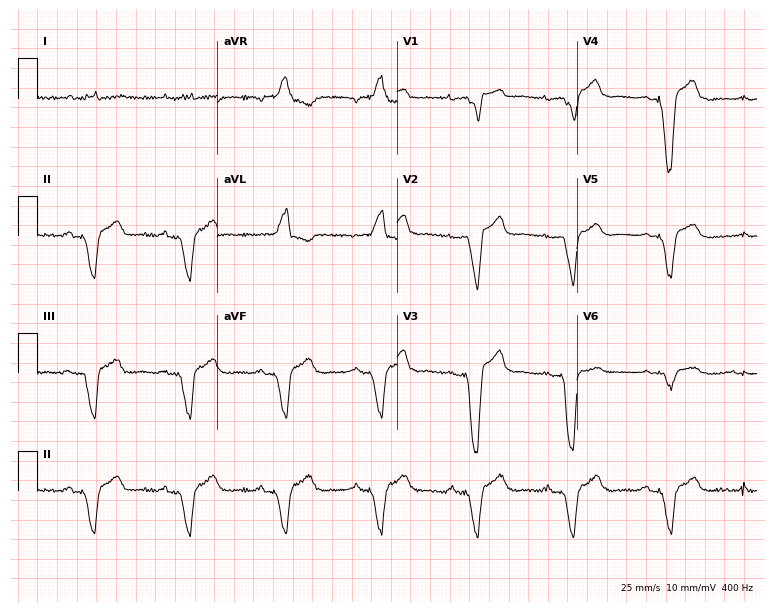
12-lead ECG from a male patient, 35 years old. Screened for six findings — first-degree AV block, right bundle branch block, left bundle branch block, sinus bradycardia, atrial fibrillation, sinus tachycardia — none is recorded.